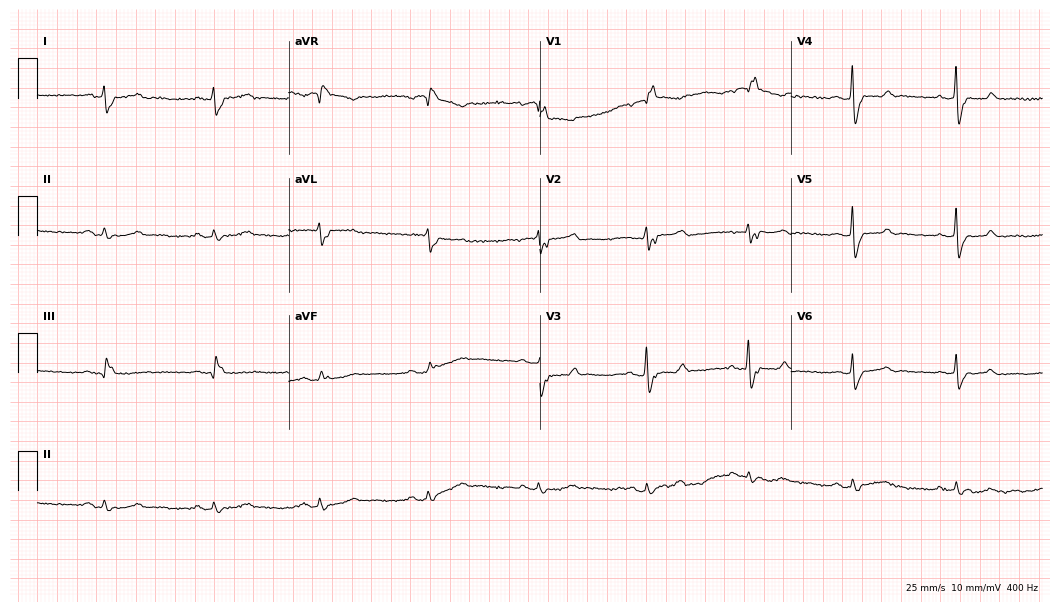
Resting 12-lead electrocardiogram. Patient: an 85-year-old male. The tracing shows right bundle branch block (RBBB).